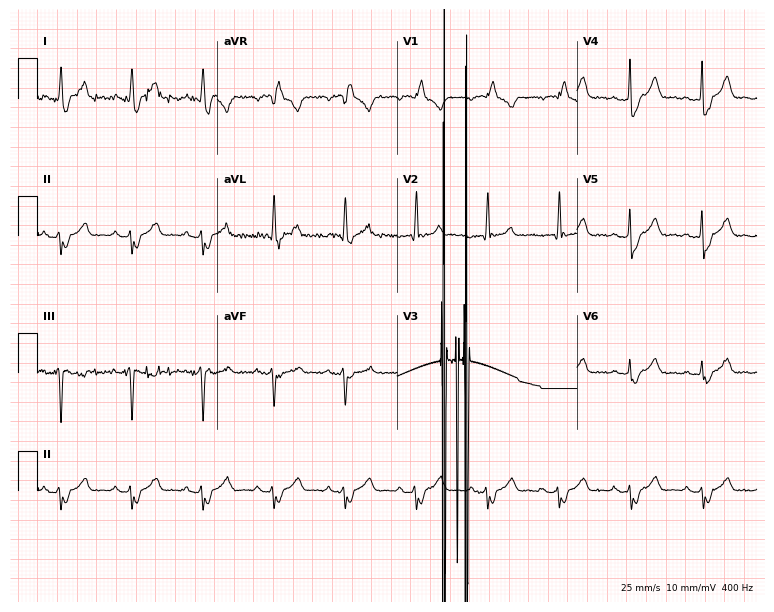
Standard 12-lead ECG recorded from a male, 81 years old (7.3-second recording at 400 Hz). None of these six findings is recorded: first-degree AV block, right bundle branch block, left bundle branch block, sinus bradycardia, atrial fibrillation, sinus tachycardia. Findings outside these six are not listed.